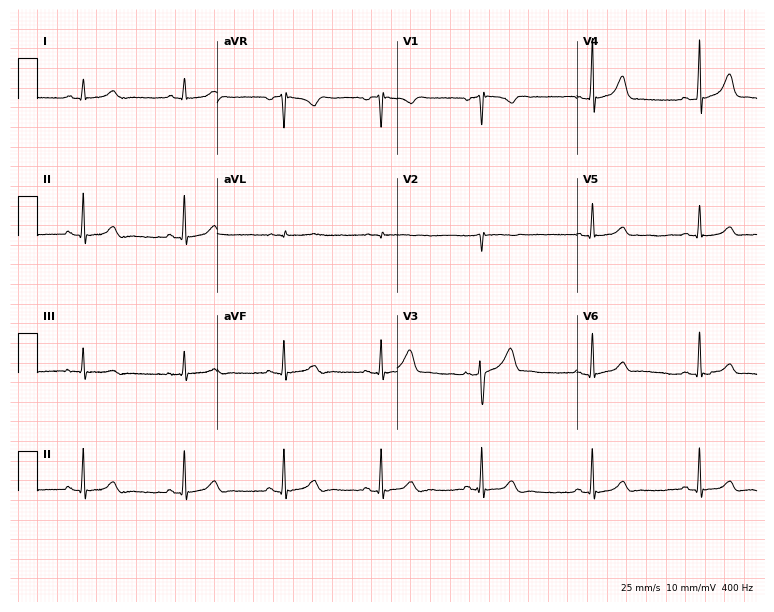
Standard 12-lead ECG recorded from a 32-year-old female (7.3-second recording at 400 Hz). None of these six findings is recorded: first-degree AV block, right bundle branch block, left bundle branch block, sinus bradycardia, atrial fibrillation, sinus tachycardia. Other findings, if any, are not listed.